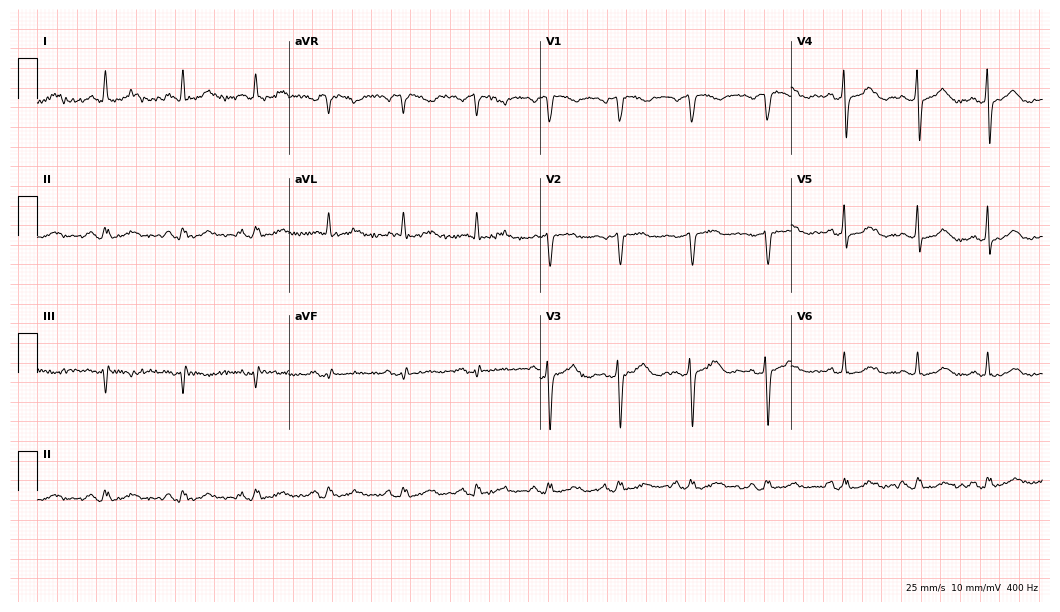
Standard 12-lead ECG recorded from a 64-year-old female patient (10.2-second recording at 400 Hz). None of these six findings is recorded: first-degree AV block, right bundle branch block, left bundle branch block, sinus bradycardia, atrial fibrillation, sinus tachycardia.